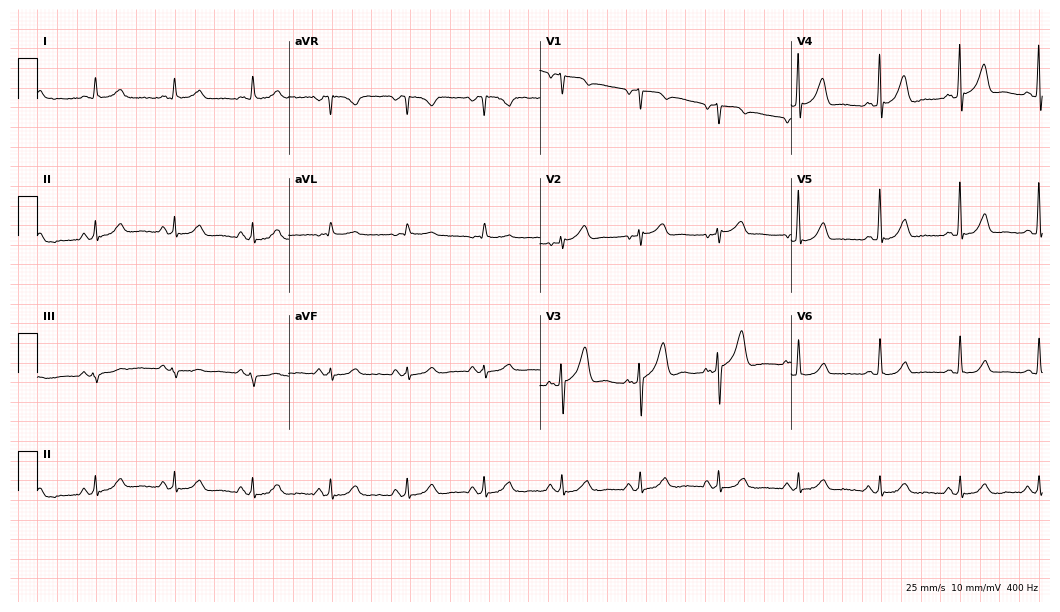
ECG (10.2-second recording at 400 Hz) — a 64-year-old male patient. Labelled as a normal ECG.